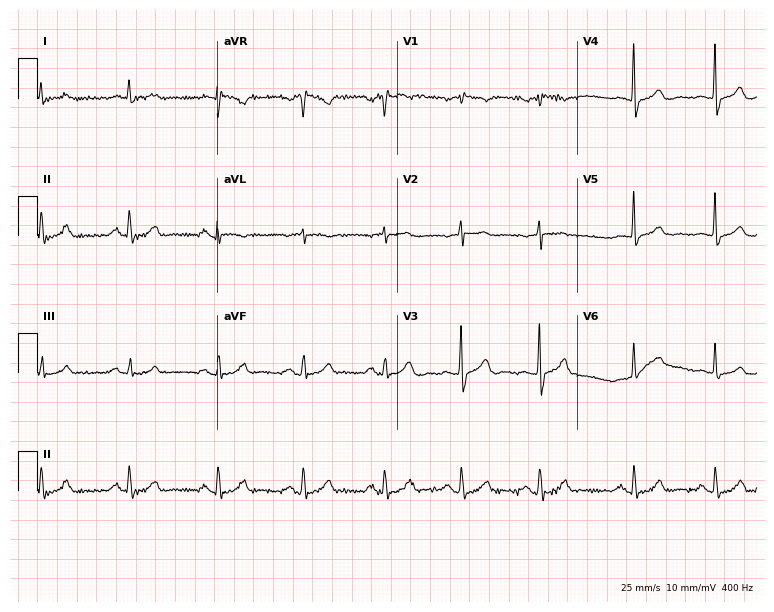
12-lead ECG from a male patient, 76 years old. No first-degree AV block, right bundle branch block, left bundle branch block, sinus bradycardia, atrial fibrillation or sinus tachycardia recorded for this tracing. Only these six findings were labelled.